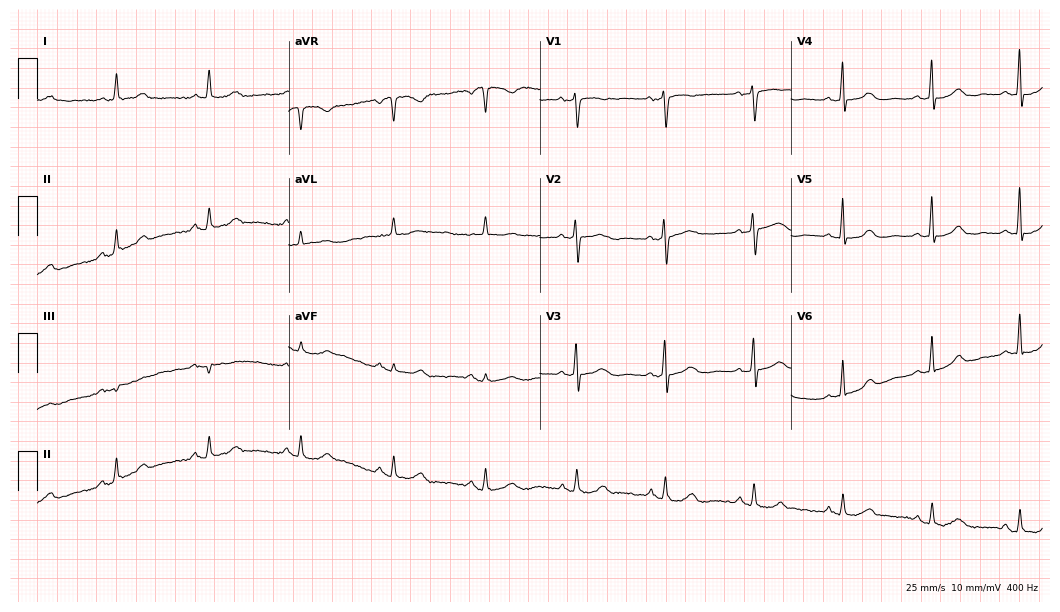
12-lead ECG from a 74-year-old female. Screened for six findings — first-degree AV block, right bundle branch block, left bundle branch block, sinus bradycardia, atrial fibrillation, sinus tachycardia — none is recorded. Only these six findings were labelled.